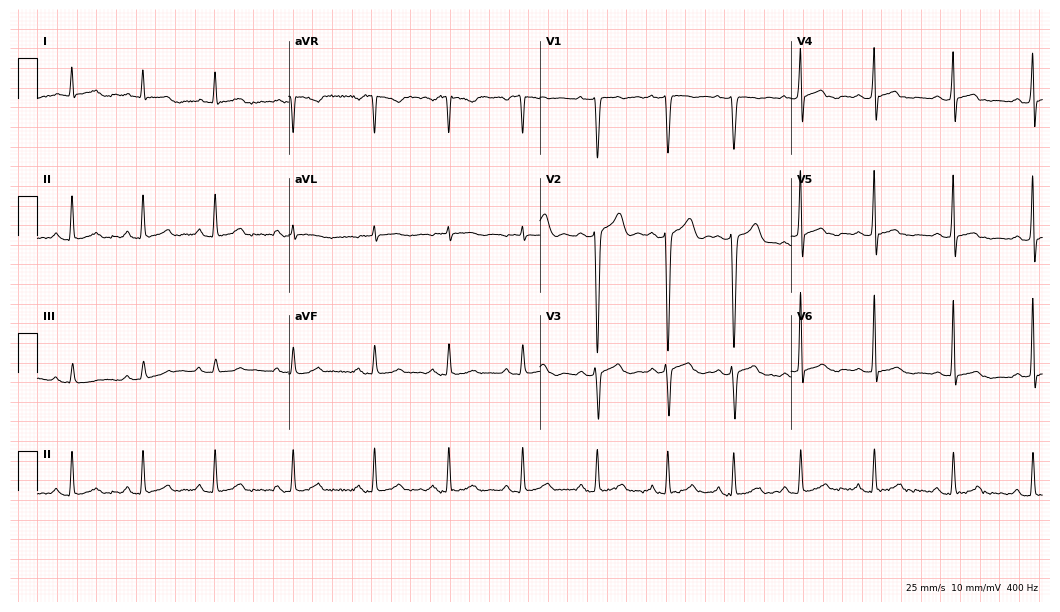
Resting 12-lead electrocardiogram. Patient: a man, 39 years old. Read as a normal ECG.